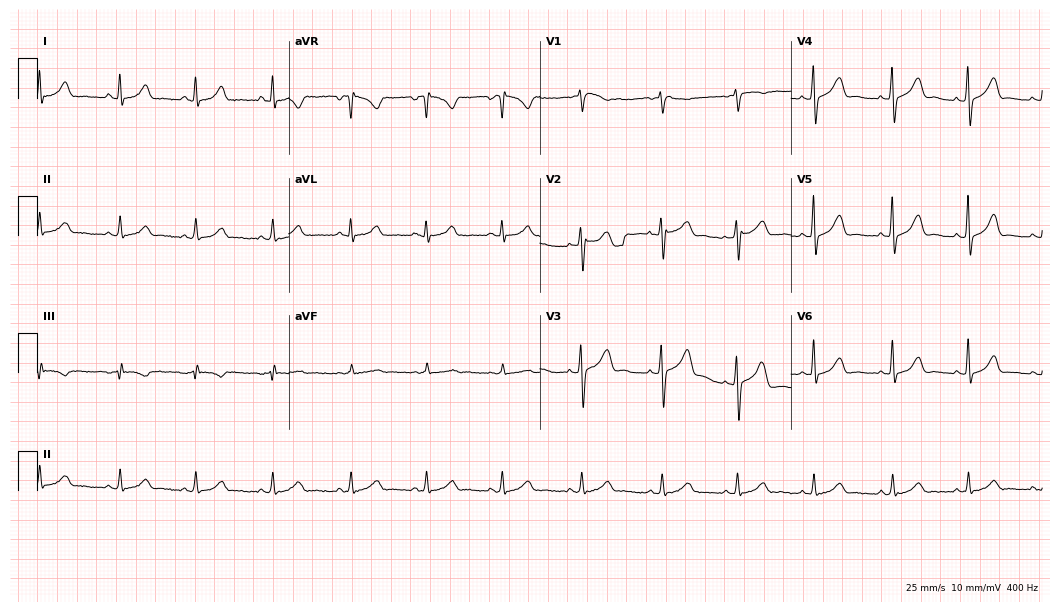
ECG — a 37-year-old woman. Labelled as a normal ECG.